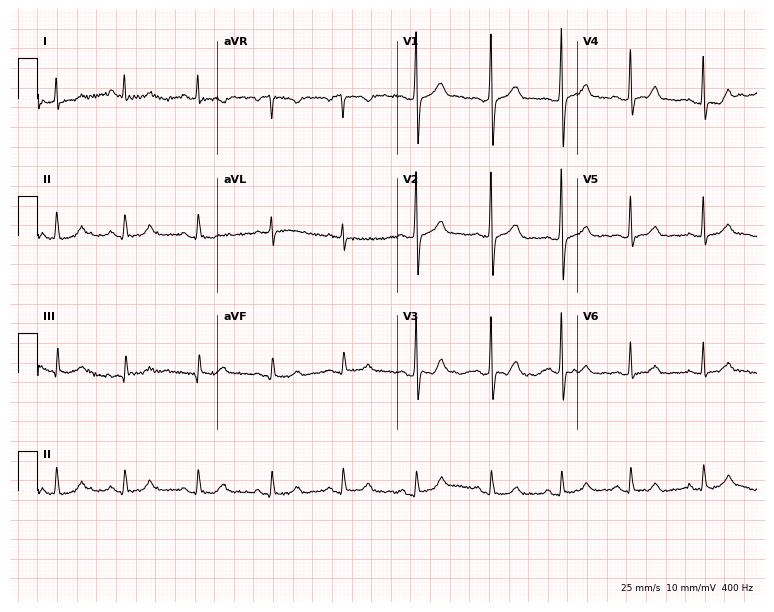
ECG — a 23-year-old male. Screened for six findings — first-degree AV block, right bundle branch block (RBBB), left bundle branch block (LBBB), sinus bradycardia, atrial fibrillation (AF), sinus tachycardia — none is recorded.